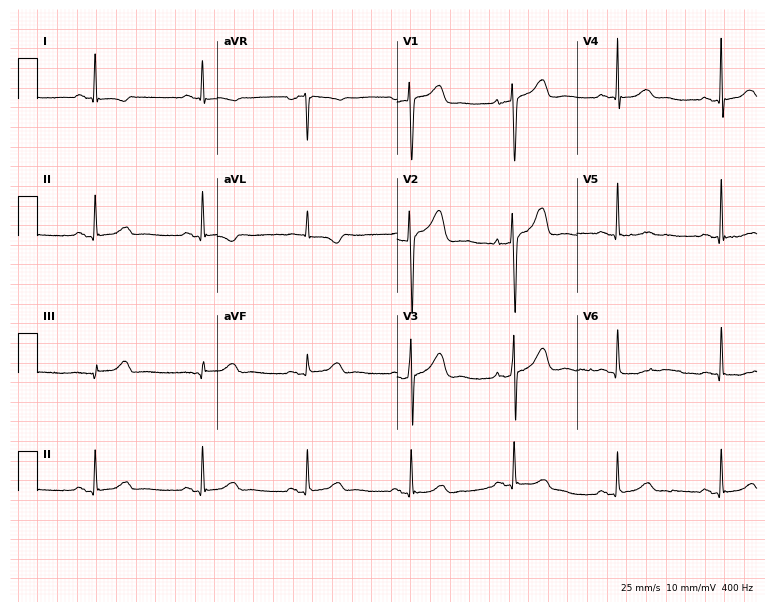
12-lead ECG (7.3-second recording at 400 Hz) from a 67-year-old female. Screened for six findings — first-degree AV block, right bundle branch block, left bundle branch block, sinus bradycardia, atrial fibrillation, sinus tachycardia — none is recorded. Other findings, if any, are not listed.